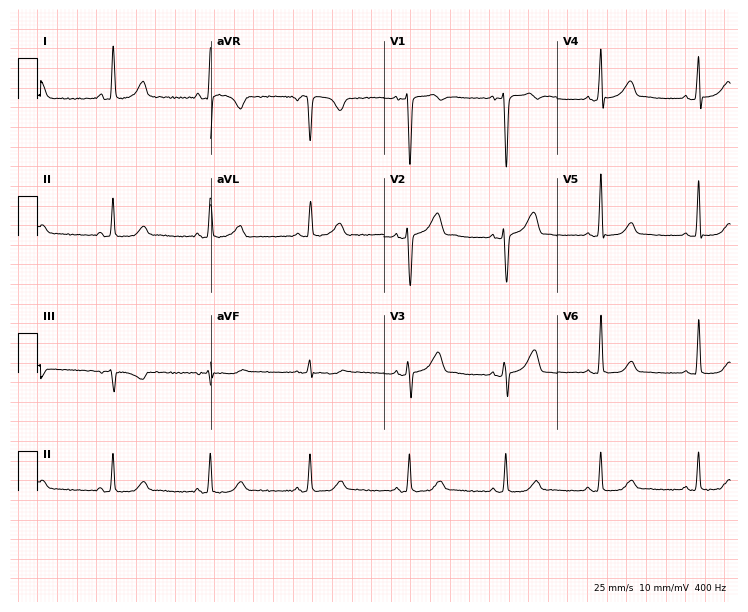
Standard 12-lead ECG recorded from a 37-year-old female. Read as a normal ECG.